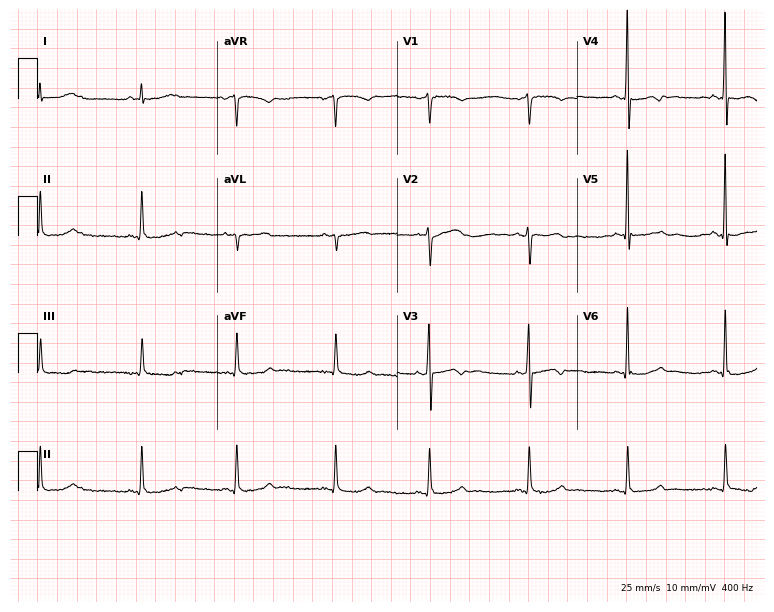
12-lead ECG from a female, 51 years old (7.3-second recording at 400 Hz). No first-degree AV block, right bundle branch block (RBBB), left bundle branch block (LBBB), sinus bradycardia, atrial fibrillation (AF) or sinus tachycardia recorded for this tracing.